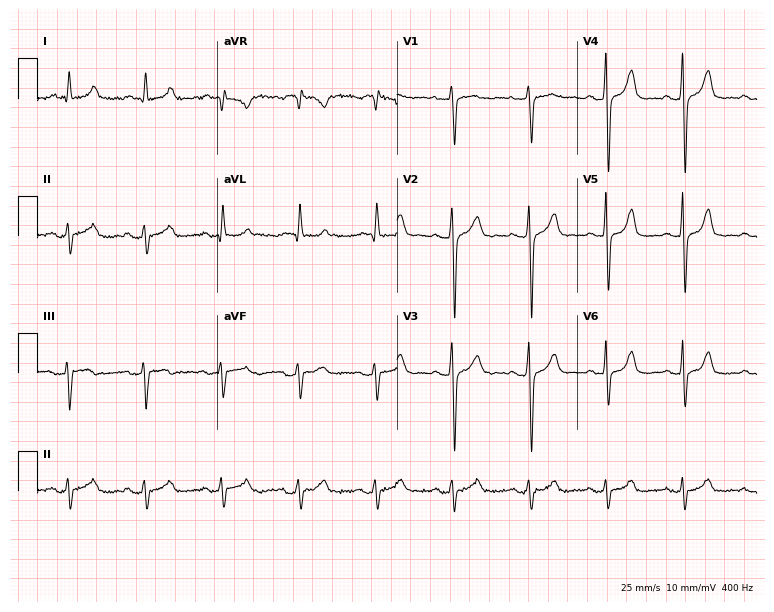
Electrocardiogram (7.3-second recording at 400 Hz), an 83-year-old male. Of the six screened findings (first-degree AV block, right bundle branch block, left bundle branch block, sinus bradycardia, atrial fibrillation, sinus tachycardia), none is recorded.